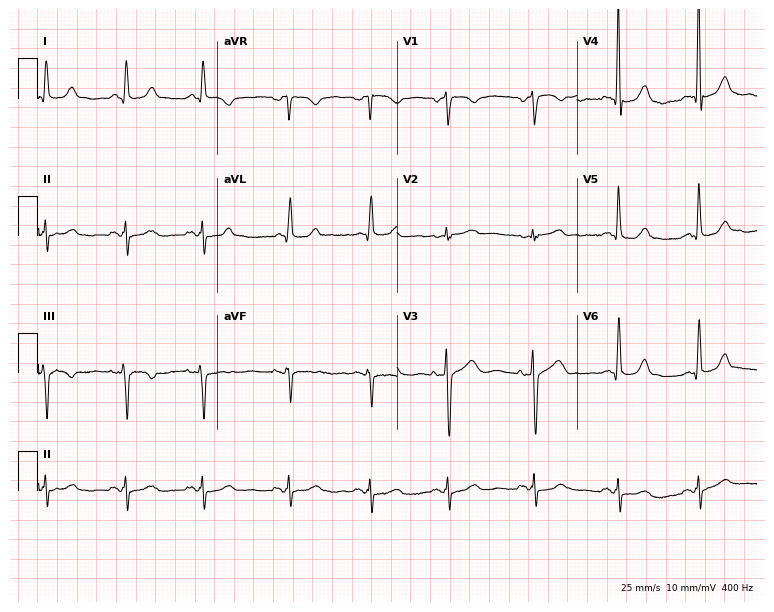
12-lead ECG from a female, 58 years old. Screened for six findings — first-degree AV block, right bundle branch block (RBBB), left bundle branch block (LBBB), sinus bradycardia, atrial fibrillation (AF), sinus tachycardia — none is recorded. Findings outside these six are not listed.